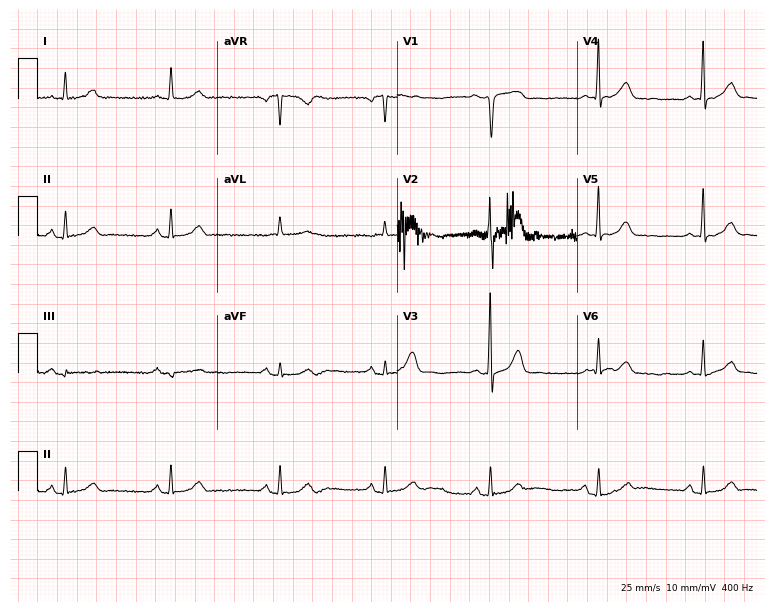
12-lead ECG from a woman, 46 years old. Labelled as a normal ECG.